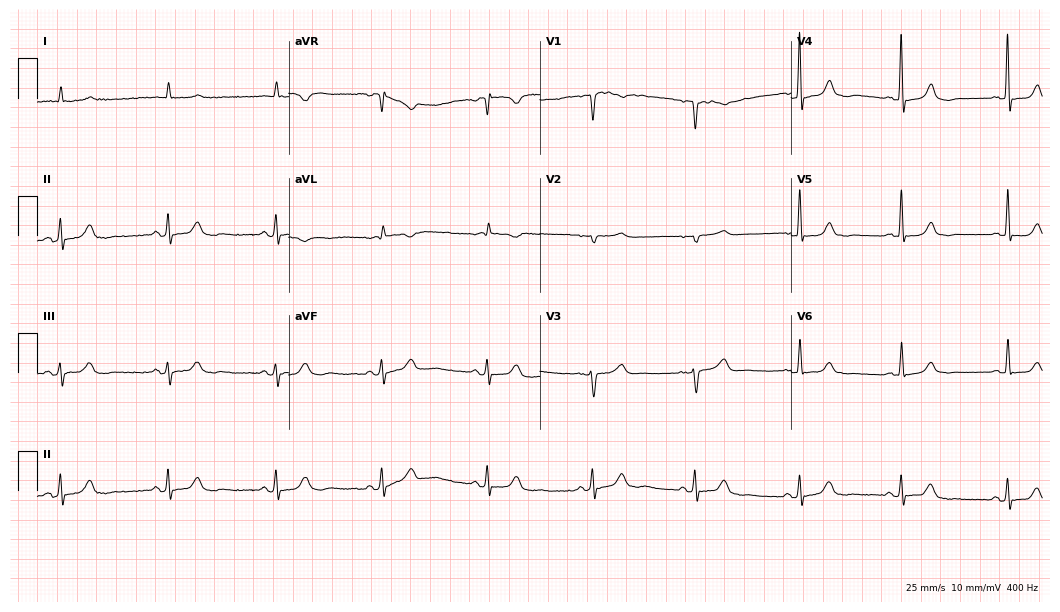
ECG — an 83-year-old female patient. Screened for six findings — first-degree AV block, right bundle branch block, left bundle branch block, sinus bradycardia, atrial fibrillation, sinus tachycardia — none is recorded.